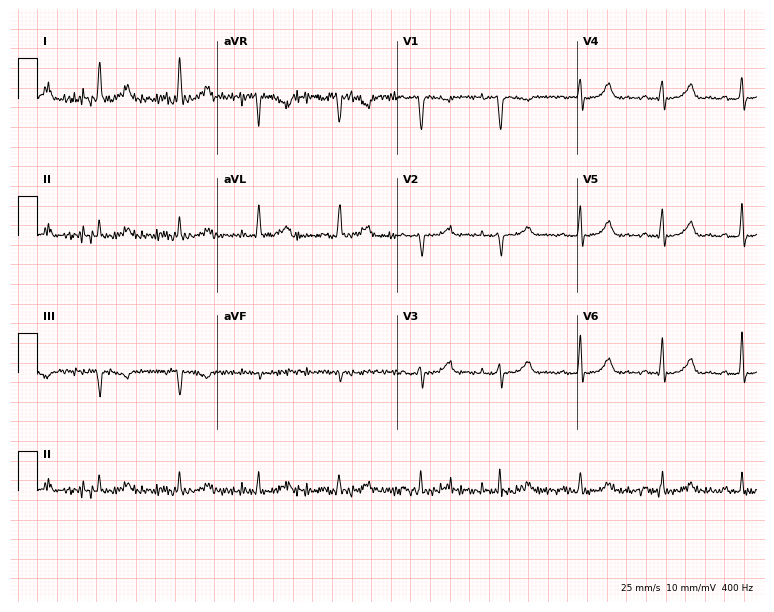
Resting 12-lead electrocardiogram (7.3-second recording at 400 Hz). Patient: a female, 58 years old. None of these six findings is recorded: first-degree AV block, right bundle branch block, left bundle branch block, sinus bradycardia, atrial fibrillation, sinus tachycardia.